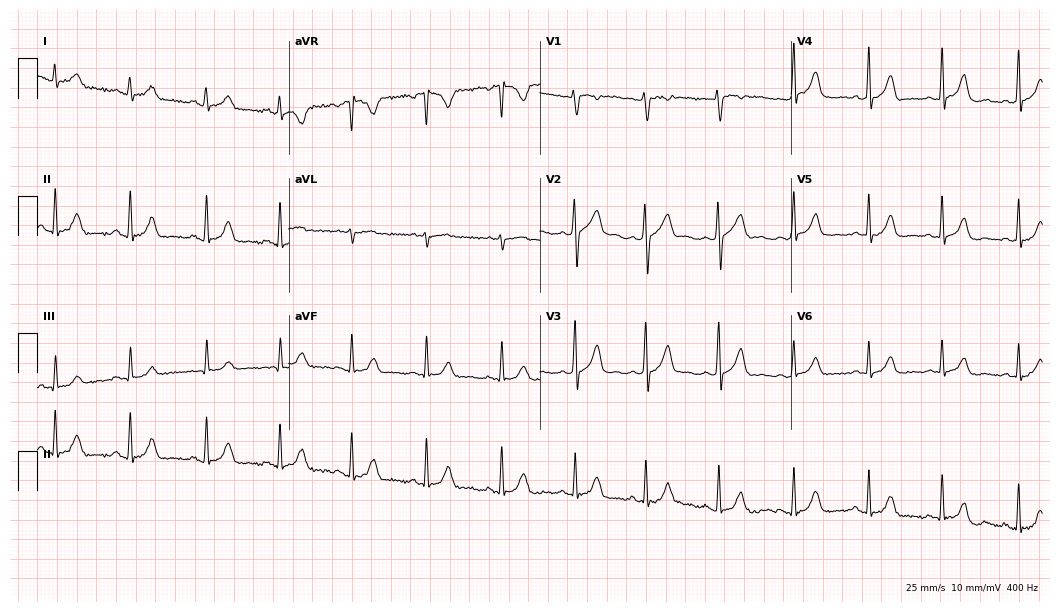
Electrocardiogram (10.2-second recording at 400 Hz), a female, 28 years old. Of the six screened findings (first-degree AV block, right bundle branch block (RBBB), left bundle branch block (LBBB), sinus bradycardia, atrial fibrillation (AF), sinus tachycardia), none is recorded. Only these six findings were labelled.